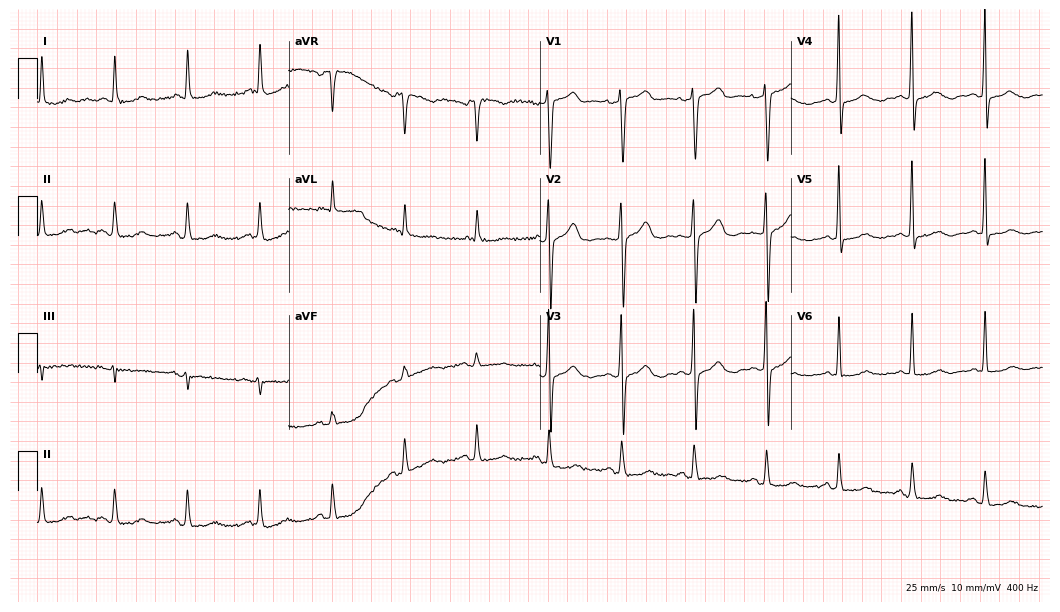
Resting 12-lead electrocardiogram. Patient: a 79-year-old female. None of these six findings is recorded: first-degree AV block, right bundle branch block (RBBB), left bundle branch block (LBBB), sinus bradycardia, atrial fibrillation (AF), sinus tachycardia.